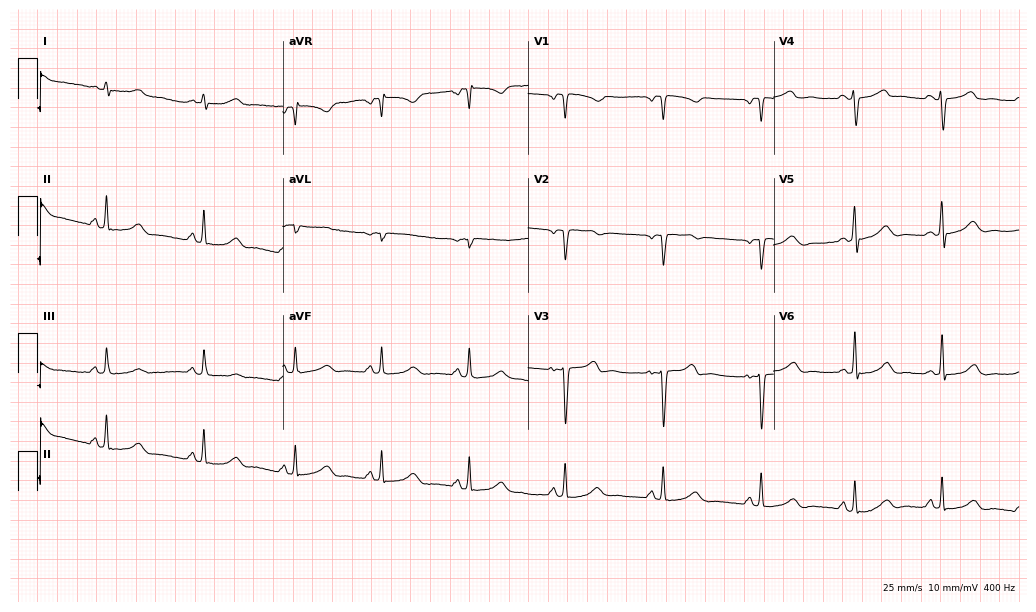
12-lead ECG from a 32-year-old female patient. No first-degree AV block, right bundle branch block, left bundle branch block, sinus bradycardia, atrial fibrillation or sinus tachycardia recorded for this tracing.